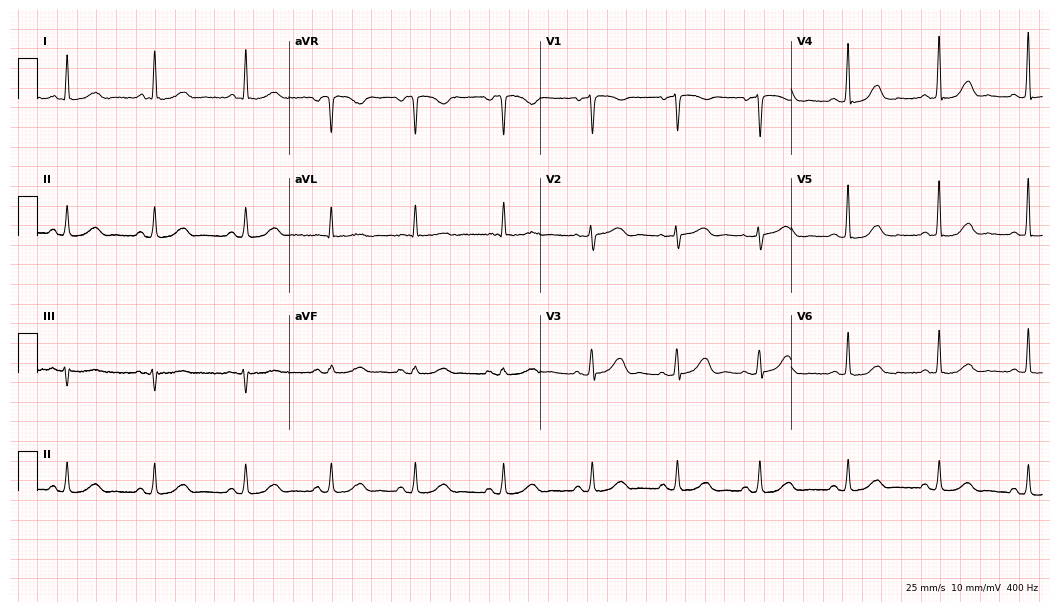
Resting 12-lead electrocardiogram (10.2-second recording at 400 Hz). Patient: a woman, 68 years old. Read as a normal ECG.